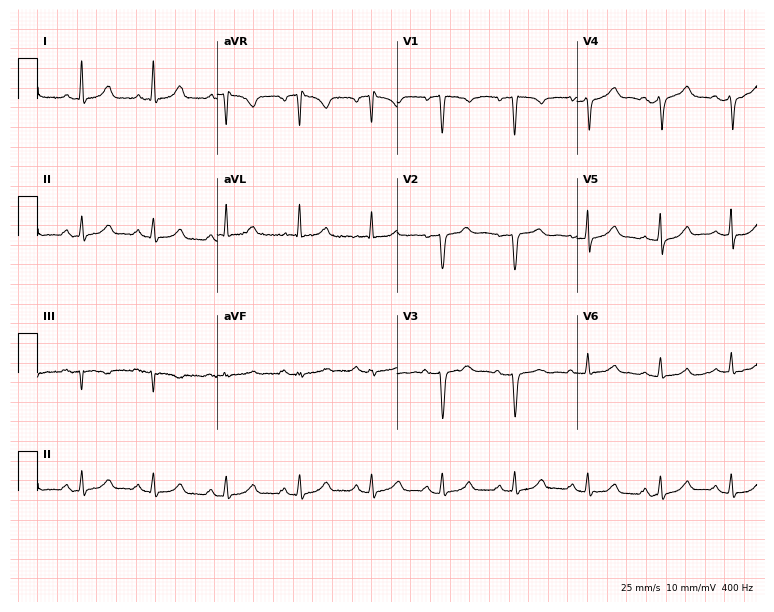
ECG — a 49-year-old woman. Screened for six findings — first-degree AV block, right bundle branch block, left bundle branch block, sinus bradycardia, atrial fibrillation, sinus tachycardia — none is recorded.